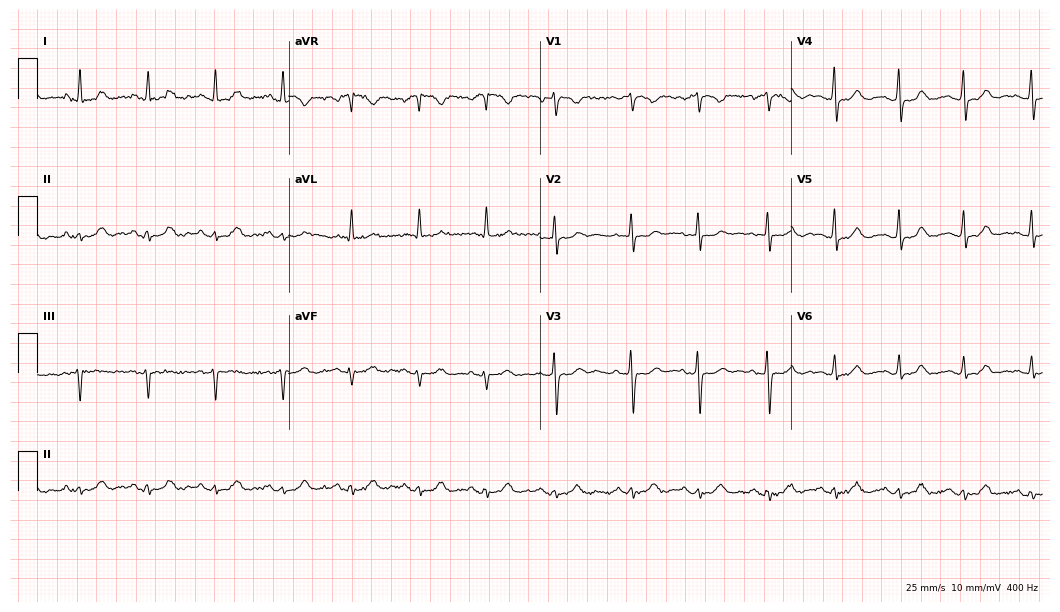
Electrocardiogram, a 51-year-old female. Of the six screened findings (first-degree AV block, right bundle branch block, left bundle branch block, sinus bradycardia, atrial fibrillation, sinus tachycardia), none is recorded.